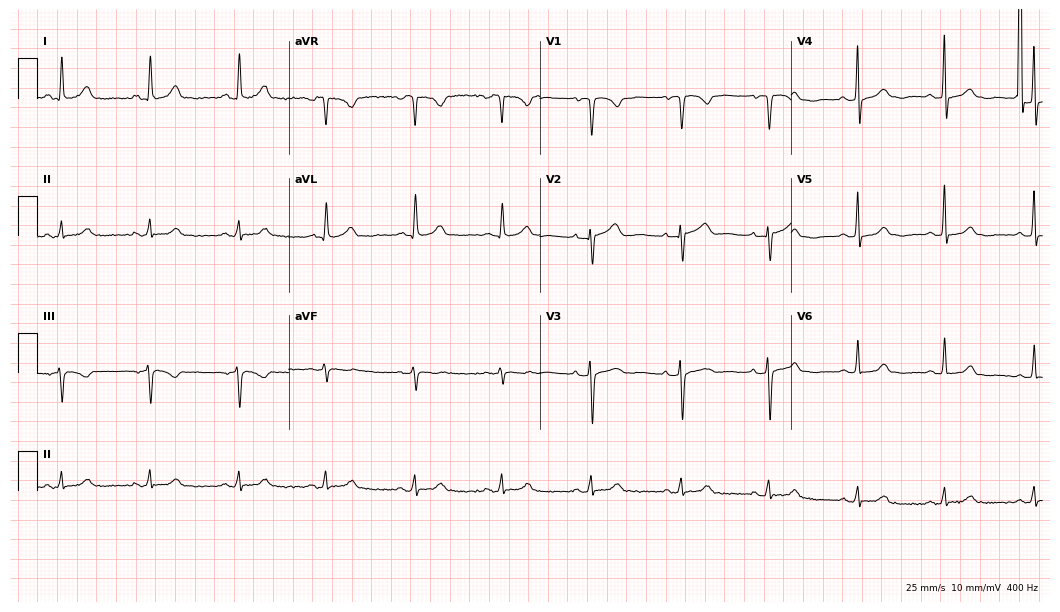
Standard 12-lead ECG recorded from a female patient, 68 years old (10.2-second recording at 400 Hz). Read as a normal ECG.